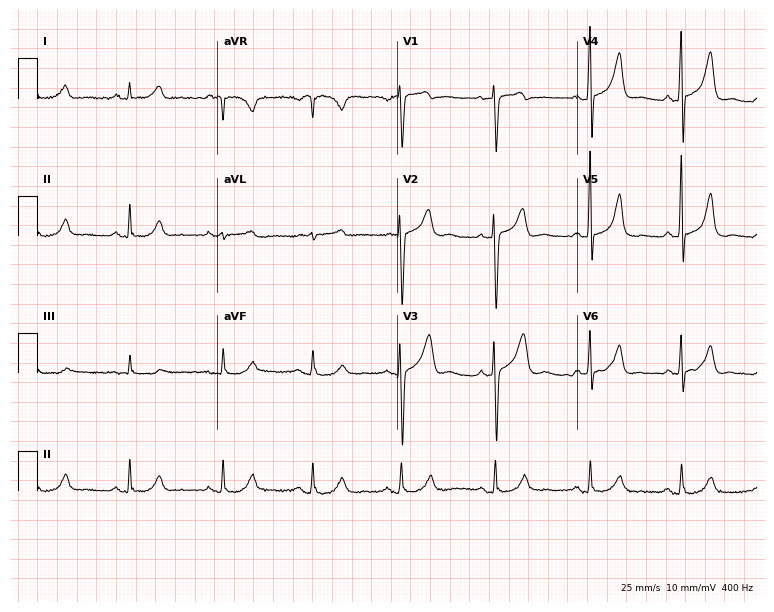
ECG — a 55-year-old male patient. Labelled as a normal ECG.